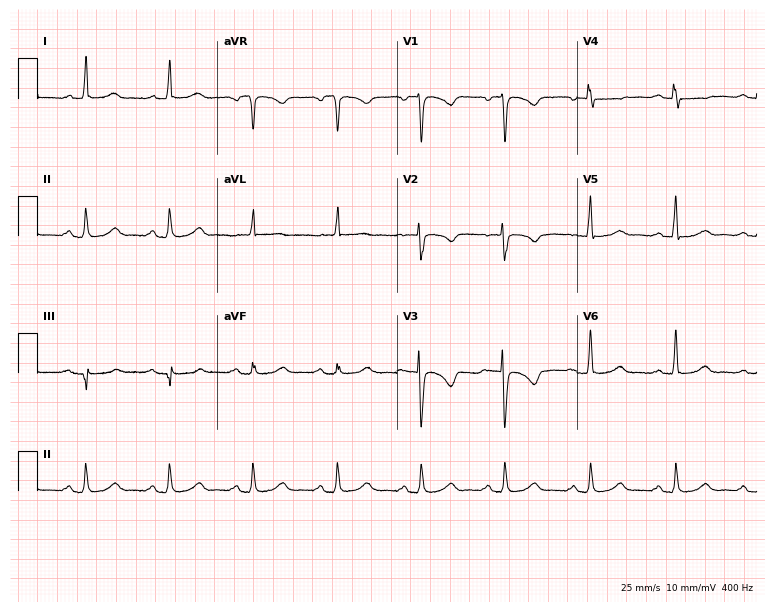
Electrocardiogram, a female patient, 53 years old. Of the six screened findings (first-degree AV block, right bundle branch block, left bundle branch block, sinus bradycardia, atrial fibrillation, sinus tachycardia), none is recorded. Findings outside these six are not listed.